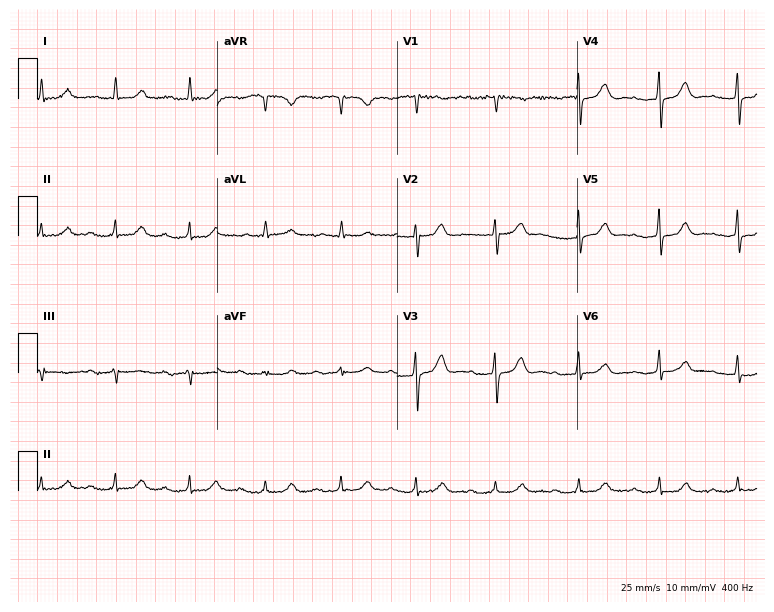
ECG (7.3-second recording at 400 Hz) — a 78-year-old woman. Screened for six findings — first-degree AV block, right bundle branch block, left bundle branch block, sinus bradycardia, atrial fibrillation, sinus tachycardia — none is recorded.